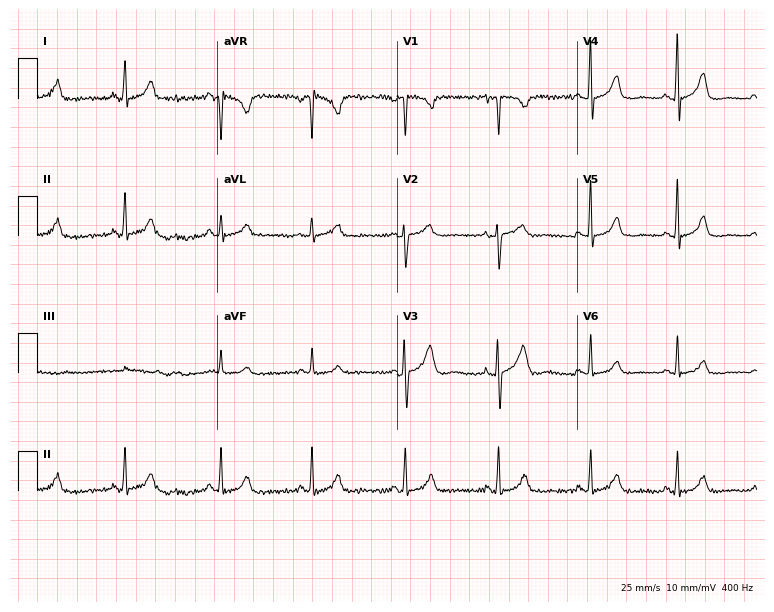
Resting 12-lead electrocardiogram. Patient: a 31-year-old woman. None of these six findings is recorded: first-degree AV block, right bundle branch block, left bundle branch block, sinus bradycardia, atrial fibrillation, sinus tachycardia.